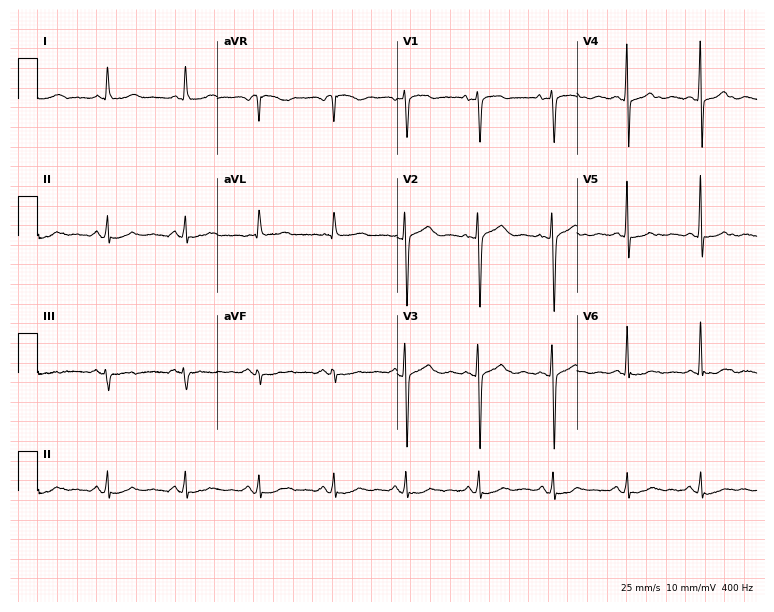
ECG — a female patient, 76 years old. Screened for six findings — first-degree AV block, right bundle branch block (RBBB), left bundle branch block (LBBB), sinus bradycardia, atrial fibrillation (AF), sinus tachycardia — none is recorded. Findings outside these six are not listed.